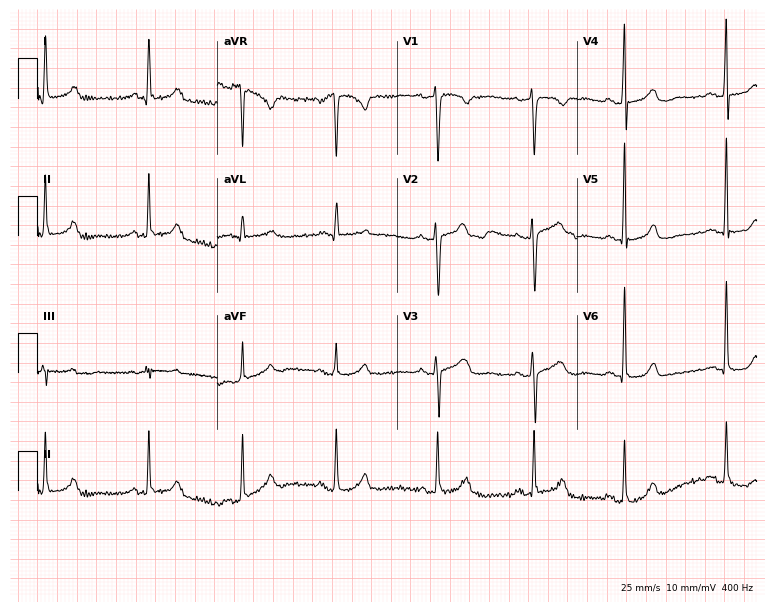
Electrocardiogram, a 39-year-old woman. Overall reading on record: normal ECG.